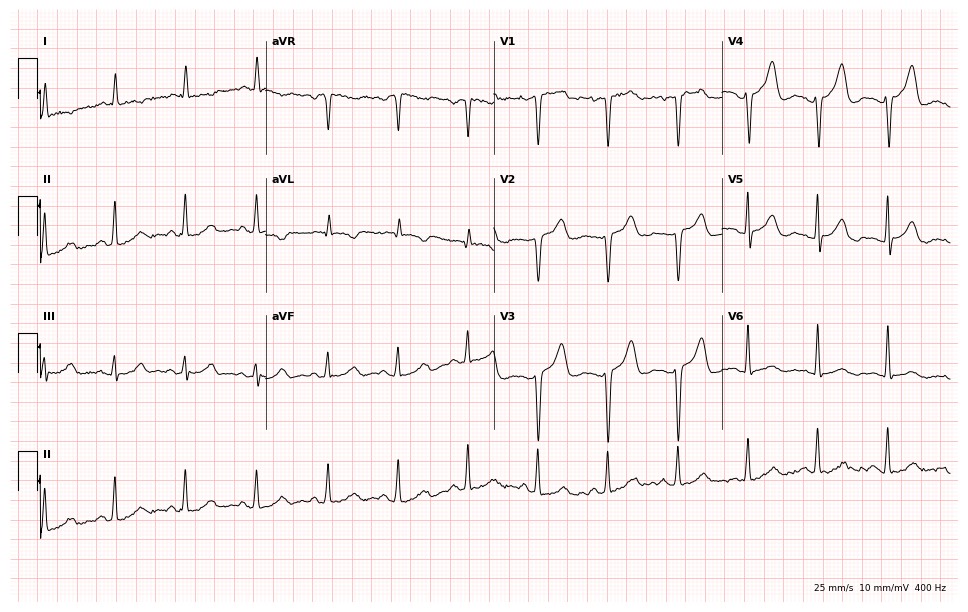
Electrocardiogram (9.3-second recording at 400 Hz), a woman, 47 years old. Of the six screened findings (first-degree AV block, right bundle branch block, left bundle branch block, sinus bradycardia, atrial fibrillation, sinus tachycardia), none is recorded.